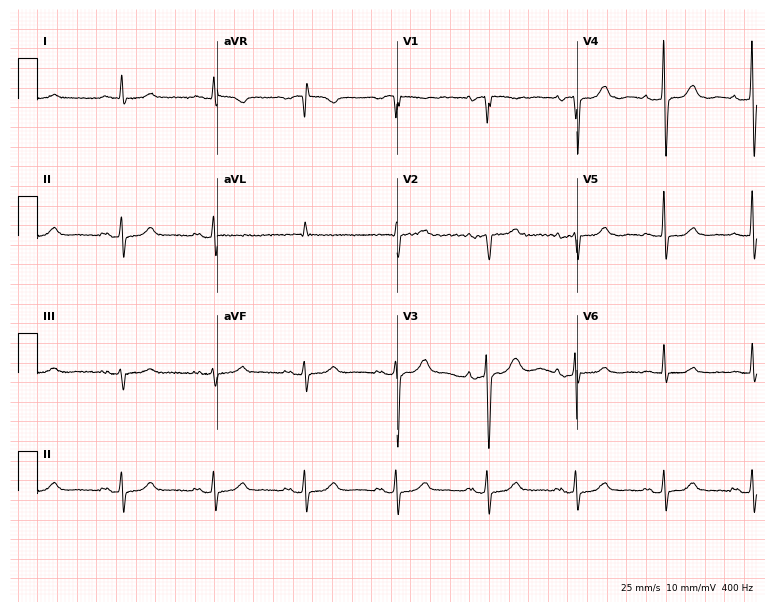
12-lead ECG from a woman, 78 years old (7.3-second recording at 400 Hz). No first-degree AV block, right bundle branch block, left bundle branch block, sinus bradycardia, atrial fibrillation or sinus tachycardia recorded for this tracing. Only these six findings were labelled.